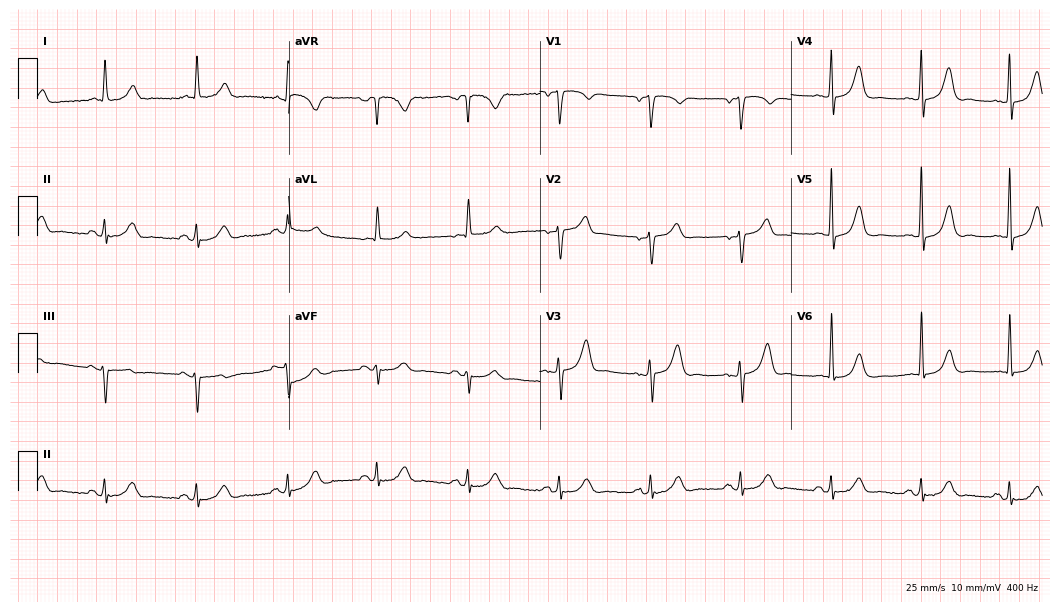
ECG — a male, 77 years old. Labelled as a normal ECG.